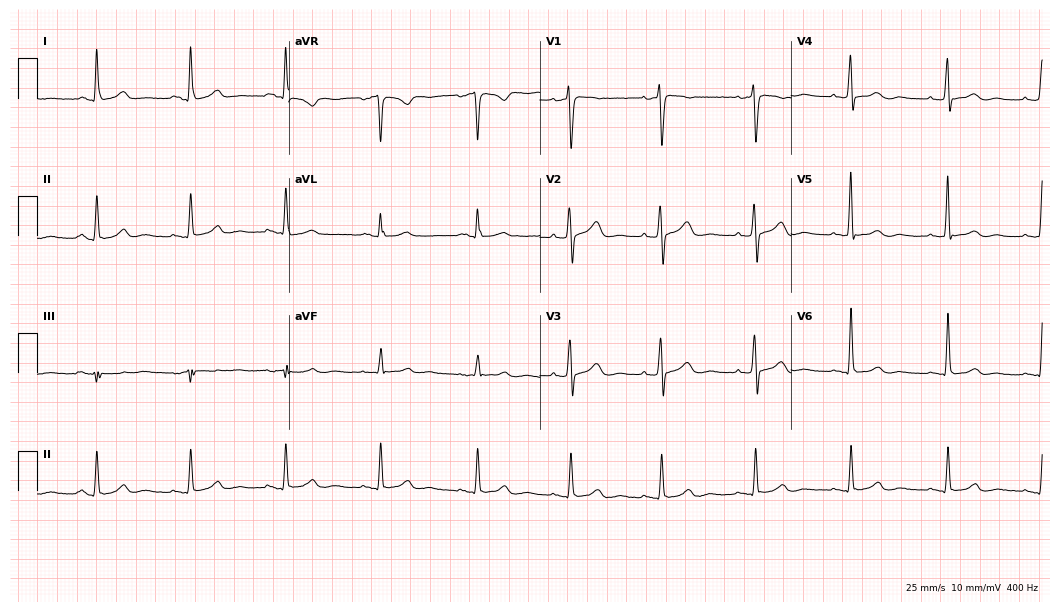
12-lead ECG (10.2-second recording at 400 Hz) from a 70-year-old female. Labelled as a normal ECG.